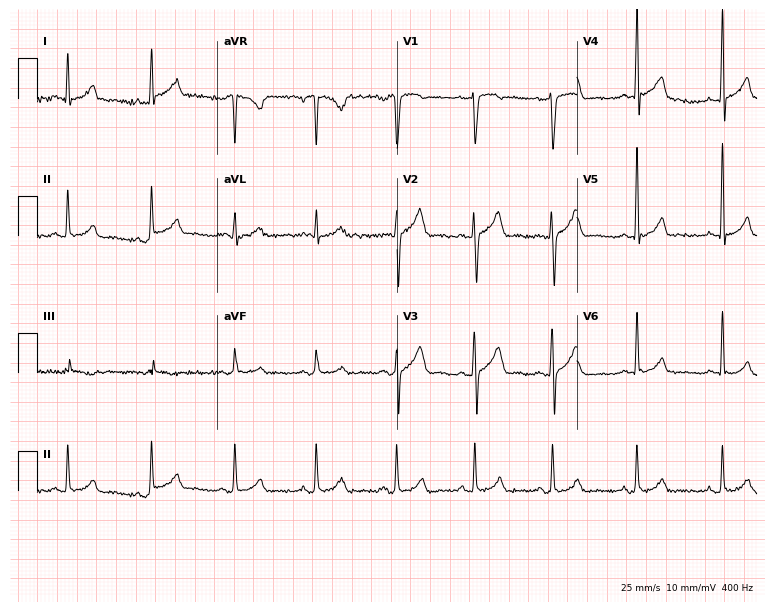
Standard 12-lead ECG recorded from a man, 29 years old. Read as a normal ECG.